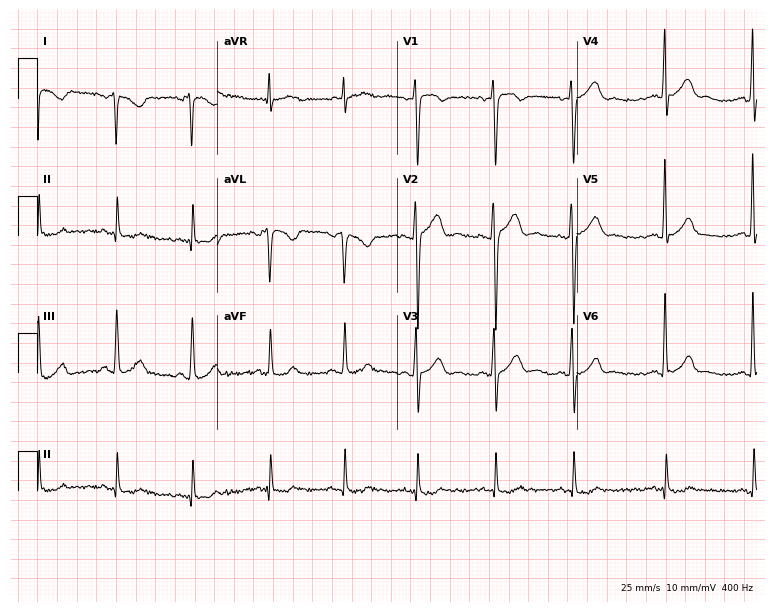
Standard 12-lead ECG recorded from a 47-year-old man (7.3-second recording at 400 Hz). None of these six findings is recorded: first-degree AV block, right bundle branch block, left bundle branch block, sinus bradycardia, atrial fibrillation, sinus tachycardia. Other findings, if any, are not listed.